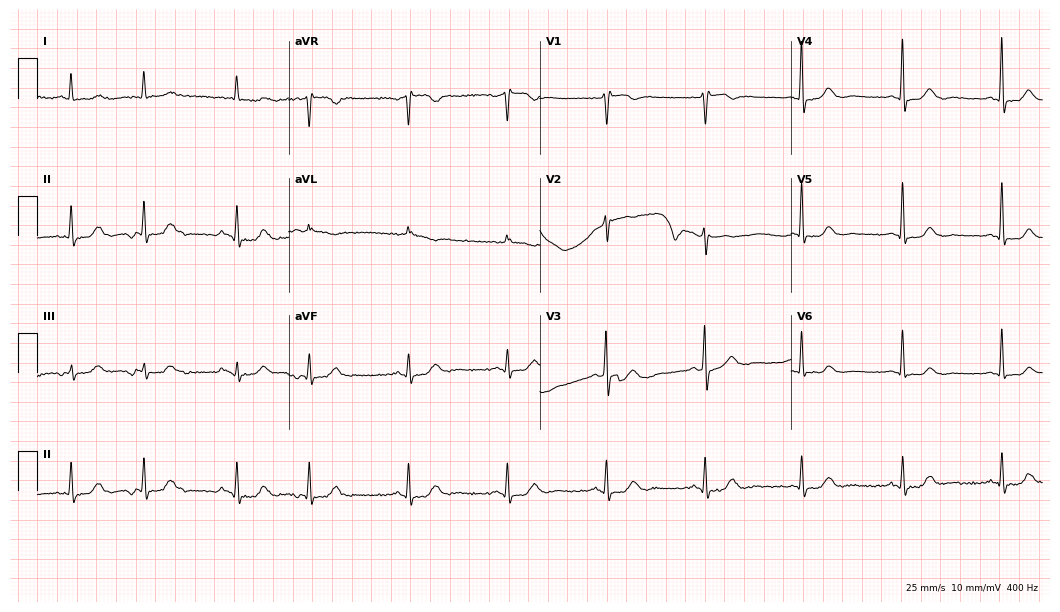
Standard 12-lead ECG recorded from a 79-year-old man (10.2-second recording at 400 Hz). None of these six findings is recorded: first-degree AV block, right bundle branch block, left bundle branch block, sinus bradycardia, atrial fibrillation, sinus tachycardia. Findings outside these six are not listed.